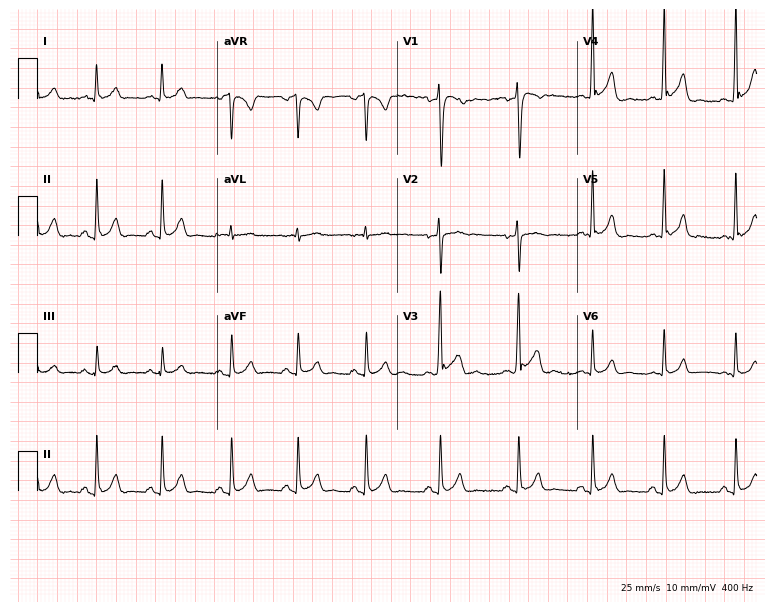
Standard 12-lead ECG recorded from an 18-year-old male patient. Read as a normal ECG.